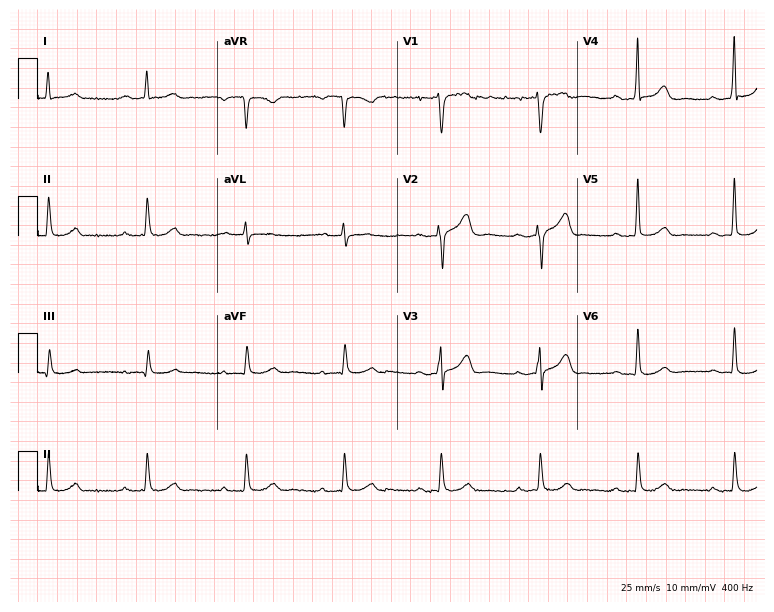
12-lead ECG from a 60-year-old male patient. No first-degree AV block, right bundle branch block, left bundle branch block, sinus bradycardia, atrial fibrillation or sinus tachycardia recorded for this tracing.